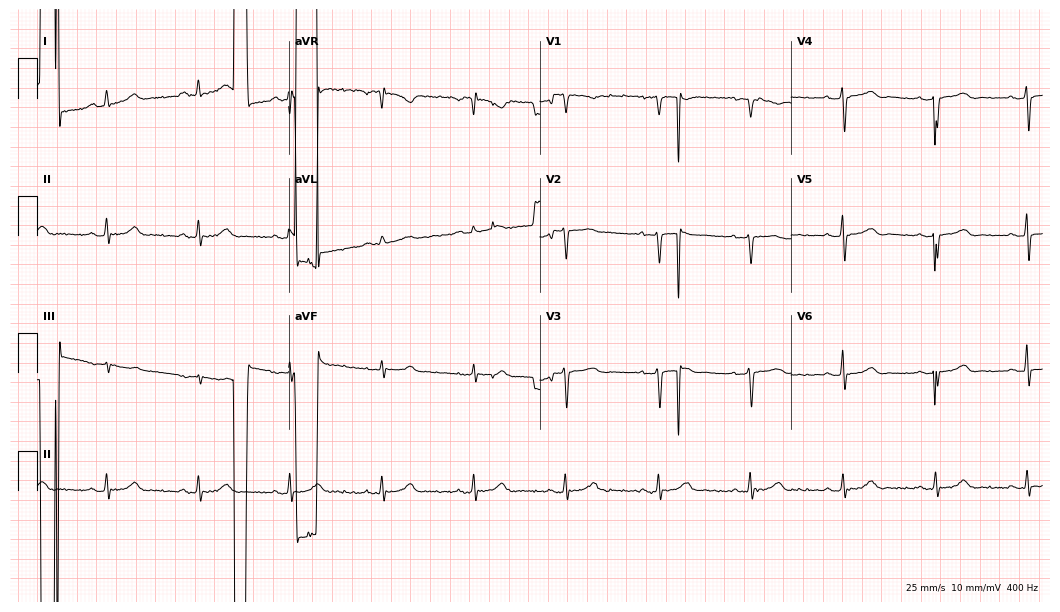
12-lead ECG from a female patient, 72 years old. Labelled as a normal ECG.